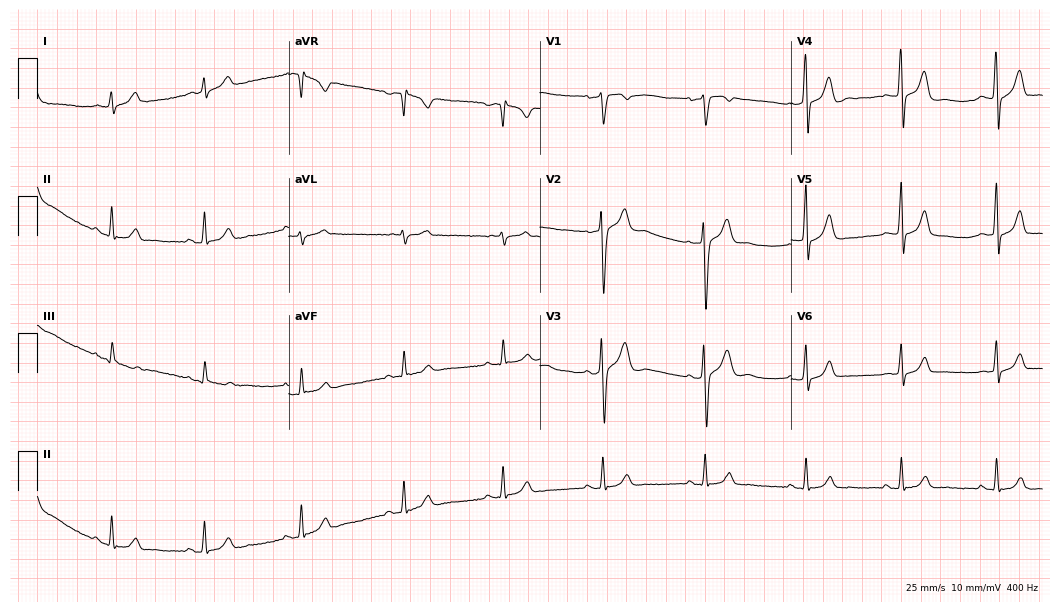
12-lead ECG from a 30-year-old male (10.2-second recording at 400 Hz). Recorded interpretation: within normal limits.